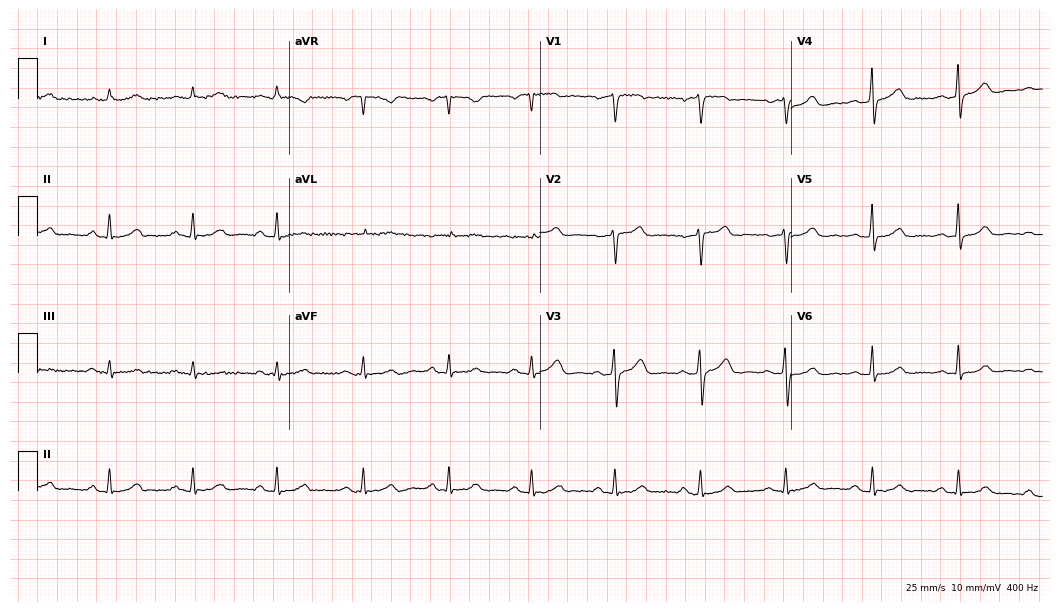
Electrocardiogram (10.2-second recording at 400 Hz), a woman, 50 years old. Of the six screened findings (first-degree AV block, right bundle branch block, left bundle branch block, sinus bradycardia, atrial fibrillation, sinus tachycardia), none is recorded. Only these six findings were labelled.